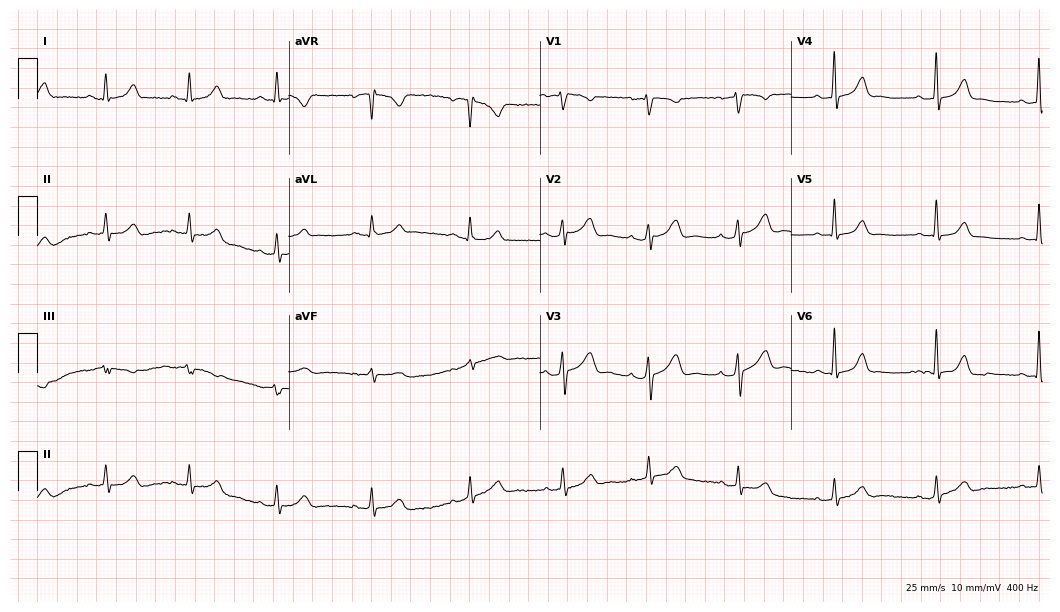
12-lead ECG (10.2-second recording at 400 Hz) from a woman, 33 years old. Labelled as a normal ECG.